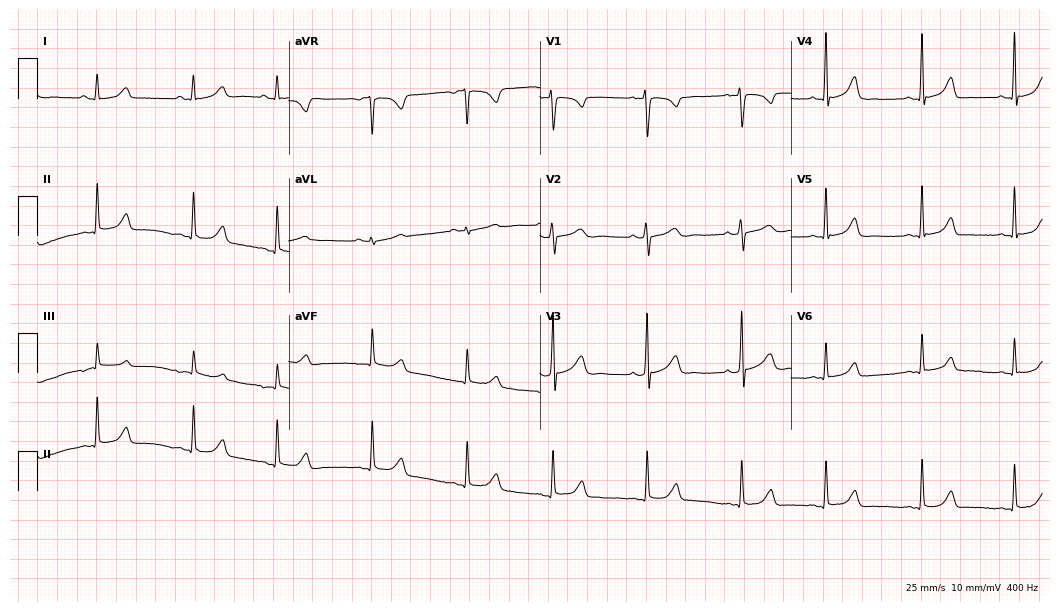
Resting 12-lead electrocardiogram (10.2-second recording at 400 Hz). Patient: a female, 20 years old. Read as a normal ECG.